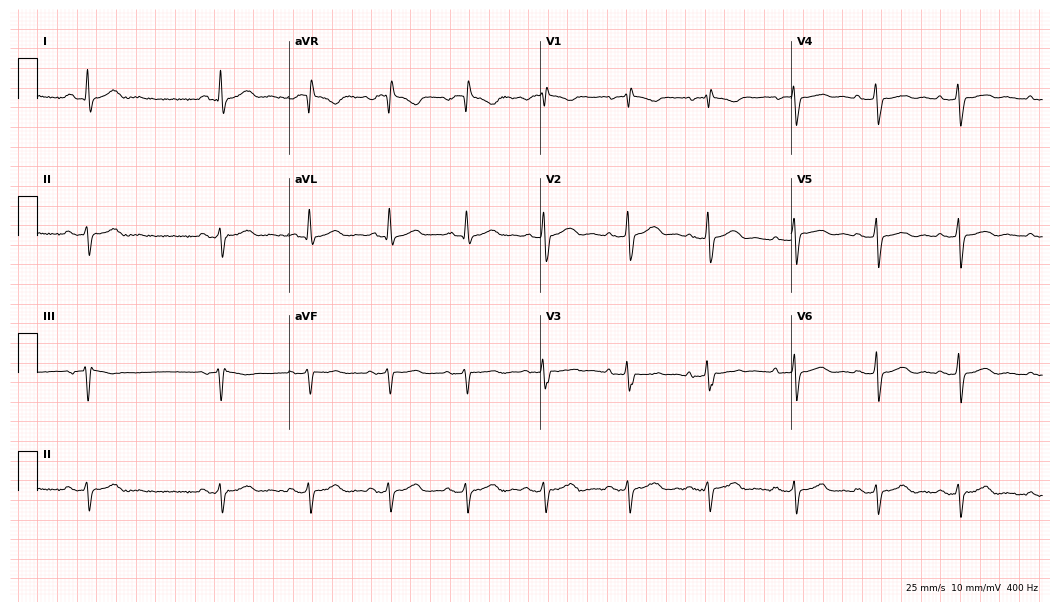
Electrocardiogram (10.2-second recording at 400 Hz), a female patient, 40 years old. Of the six screened findings (first-degree AV block, right bundle branch block, left bundle branch block, sinus bradycardia, atrial fibrillation, sinus tachycardia), none is recorded.